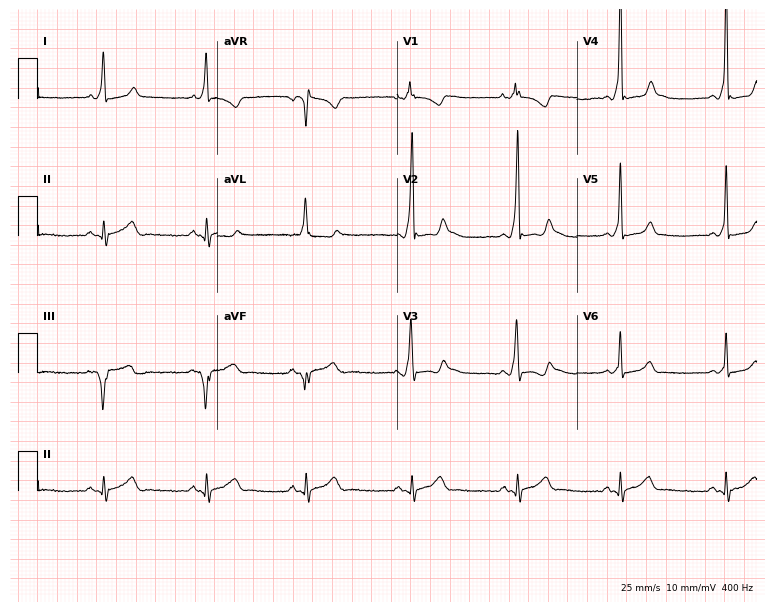
ECG — a 29-year-old male patient. Screened for six findings — first-degree AV block, right bundle branch block, left bundle branch block, sinus bradycardia, atrial fibrillation, sinus tachycardia — none is recorded. Only these six findings were labelled.